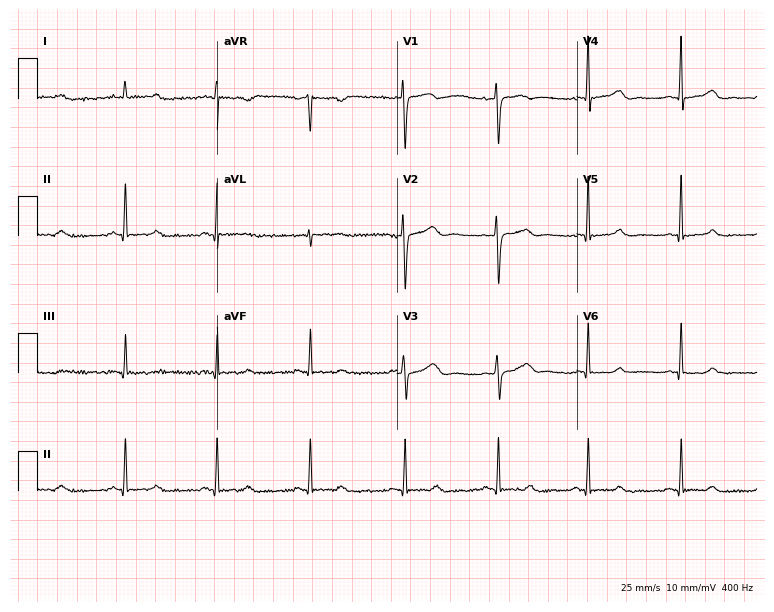
Electrocardiogram (7.3-second recording at 400 Hz), a female, 39 years old. Of the six screened findings (first-degree AV block, right bundle branch block (RBBB), left bundle branch block (LBBB), sinus bradycardia, atrial fibrillation (AF), sinus tachycardia), none is recorded. Only these six findings were labelled.